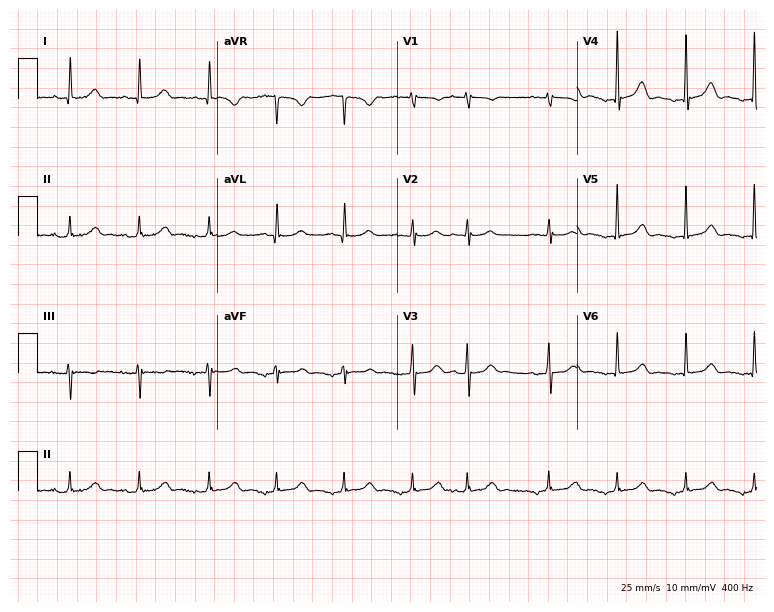
ECG — a female patient, 77 years old. Screened for six findings — first-degree AV block, right bundle branch block, left bundle branch block, sinus bradycardia, atrial fibrillation, sinus tachycardia — none is recorded. Other findings, if any, are not listed.